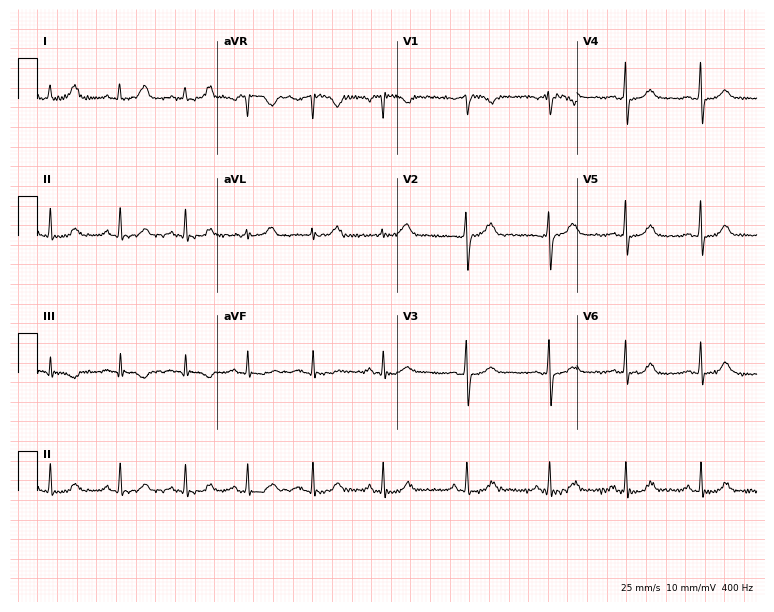
Standard 12-lead ECG recorded from a woman, 47 years old. None of these six findings is recorded: first-degree AV block, right bundle branch block, left bundle branch block, sinus bradycardia, atrial fibrillation, sinus tachycardia.